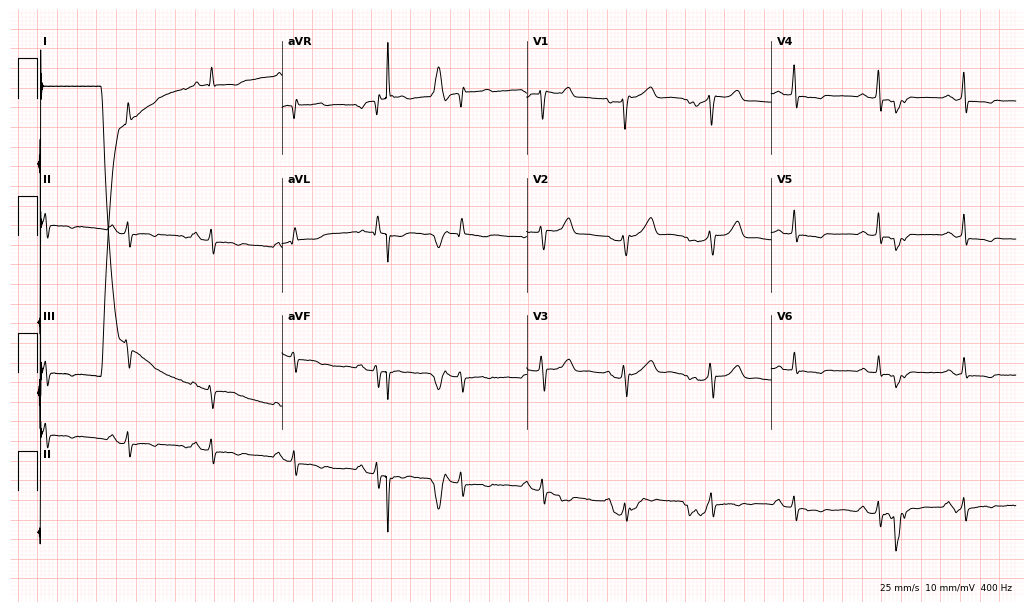
Standard 12-lead ECG recorded from a 66-year-old female. None of these six findings is recorded: first-degree AV block, right bundle branch block (RBBB), left bundle branch block (LBBB), sinus bradycardia, atrial fibrillation (AF), sinus tachycardia.